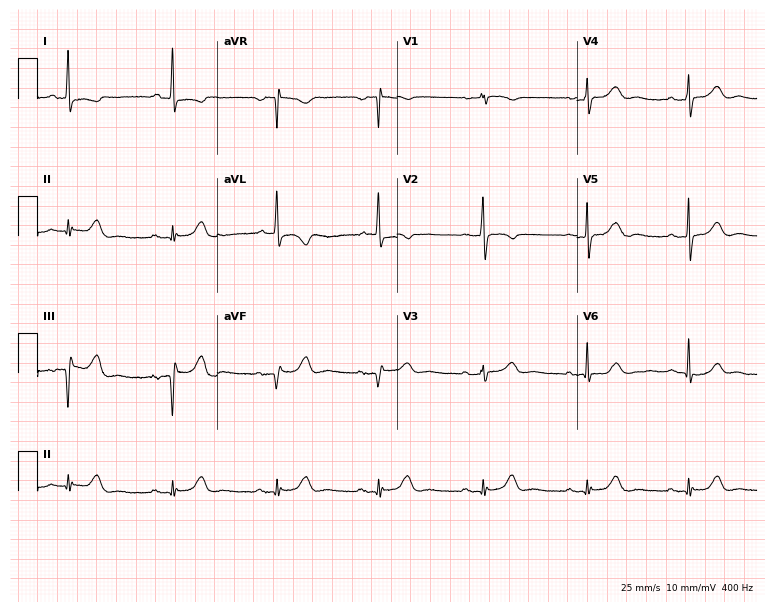
Standard 12-lead ECG recorded from a female, 78 years old (7.3-second recording at 400 Hz). None of these six findings is recorded: first-degree AV block, right bundle branch block, left bundle branch block, sinus bradycardia, atrial fibrillation, sinus tachycardia.